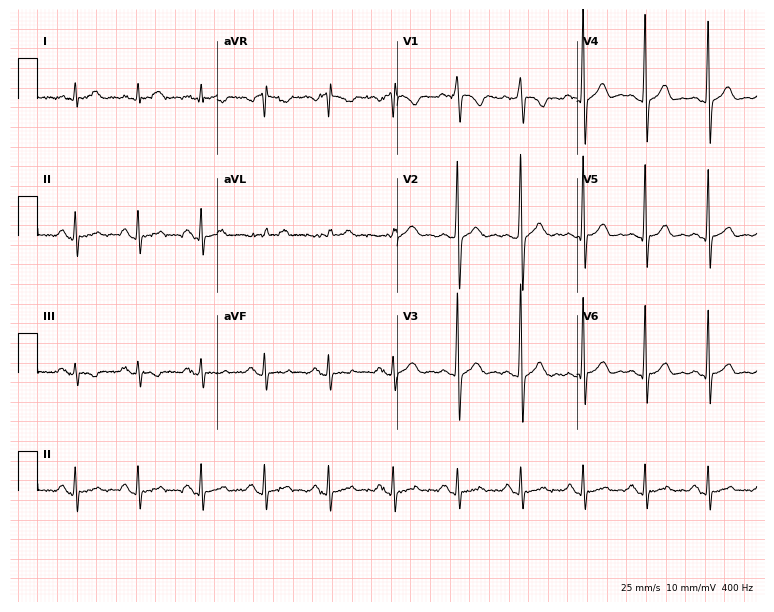
12-lead ECG from a 64-year-old male patient (7.3-second recording at 400 Hz). Recorded interpretation: within normal limits.